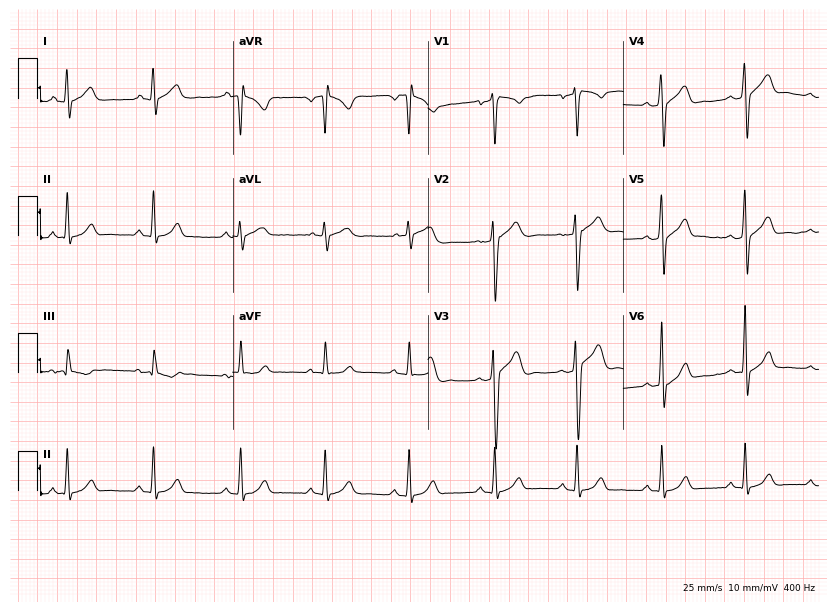
12-lead ECG (8-second recording at 400 Hz) from a male, 21 years old. Labelled as a normal ECG.